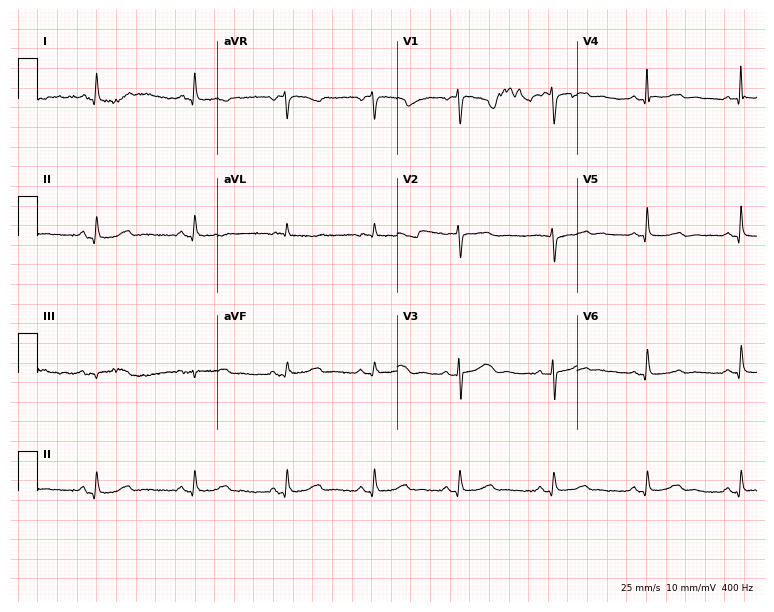
Standard 12-lead ECG recorded from a woman, 68 years old (7.3-second recording at 400 Hz). None of these six findings is recorded: first-degree AV block, right bundle branch block (RBBB), left bundle branch block (LBBB), sinus bradycardia, atrial fibrillation (AF), sinus tachycardia.